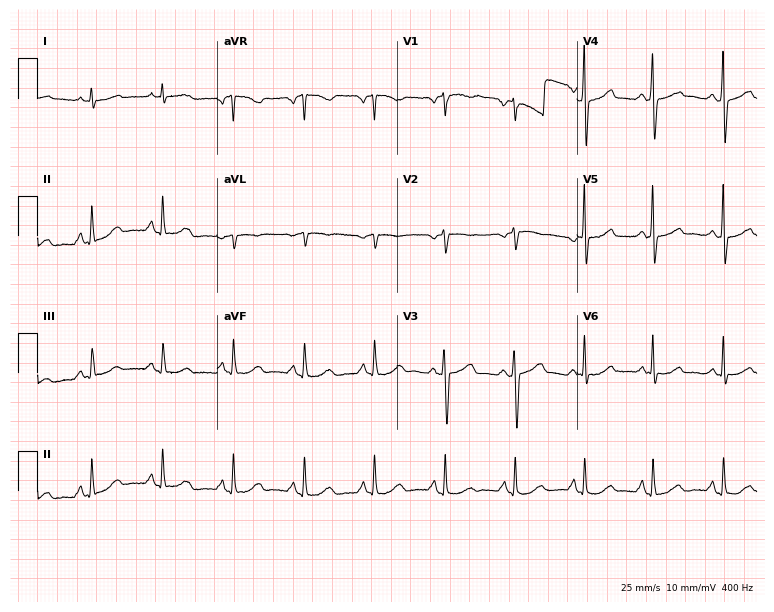
Electrocardiogram (7.3-second recording at 400 Hz), a 57-year-old woman. Overall reading on record: normal ECG.